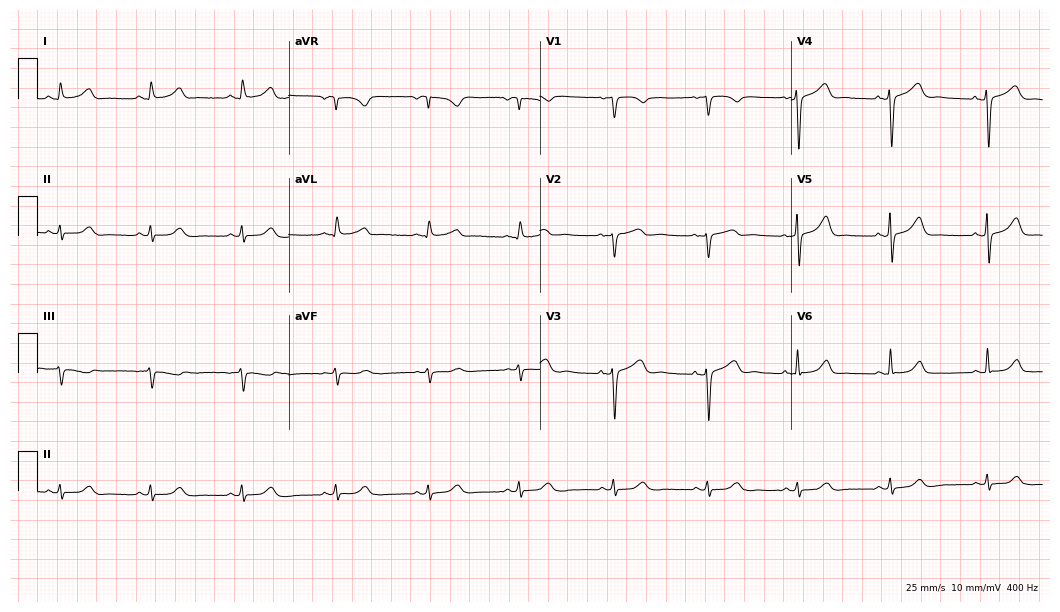
12-lead ECG from a female, 42 years old. No first-degree AV block, right bundle branch block, left bundle branch block, sinus bradycardia, atrial fibrillation or sinus tachycardia recorded for this tracing.